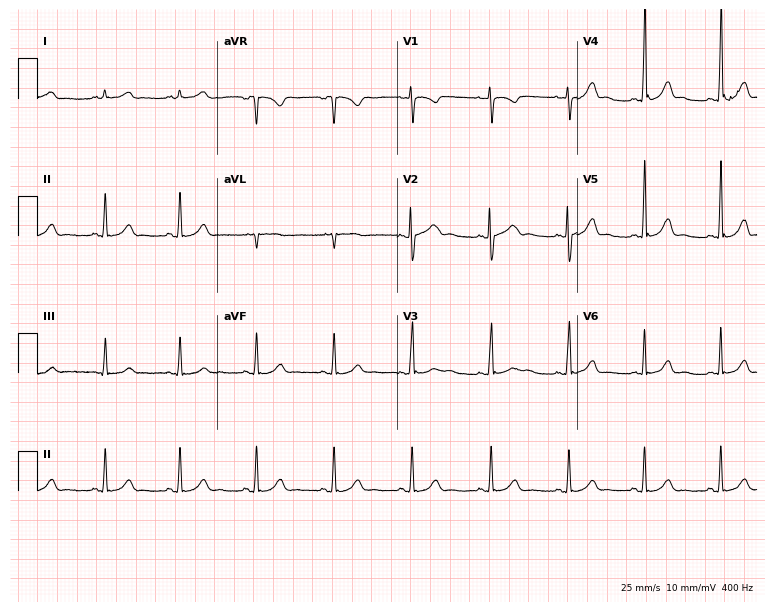
12-lead ECG from a woman, 26 years old. Labelled as a normal ECG.